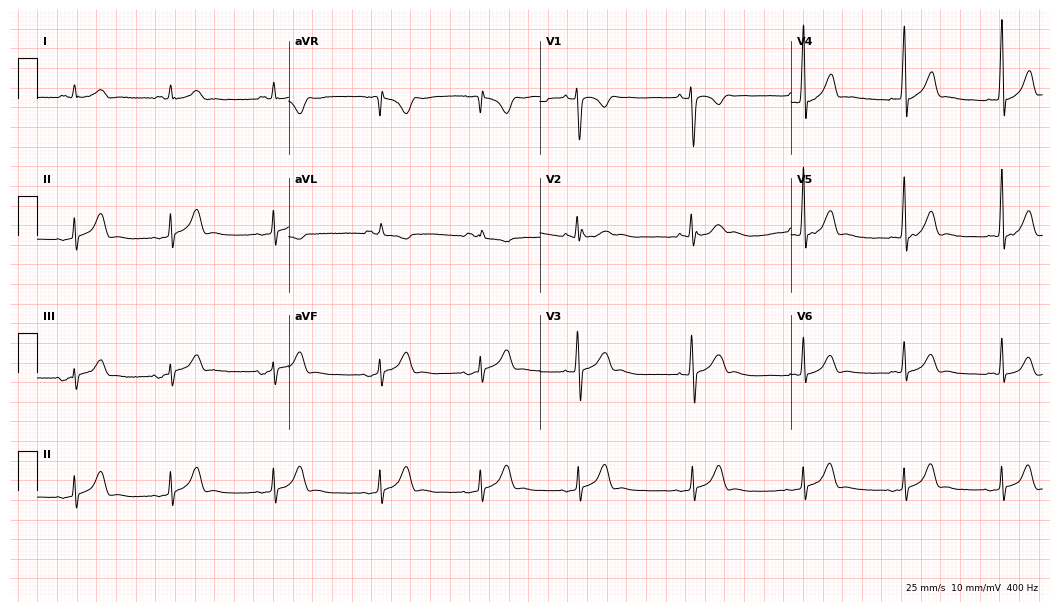
Electrocardiogram (10.2-second recording at 400 Hz), a 21-year-old male. Of the six screened findings (first-degree AV block, right bundle branch block, left bundle branch block, sinus bradycardia, atrial fibrillation, sinus tachycardia), none is recorded.